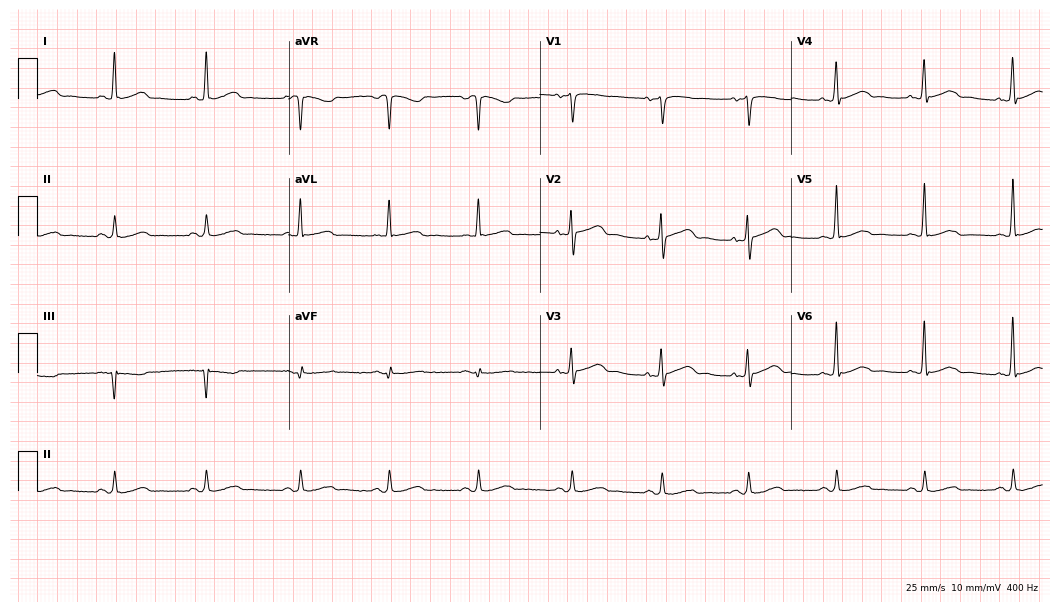
Standard 12-lead ECG recorded from a female, 66 years old. Read as a normal ECG.